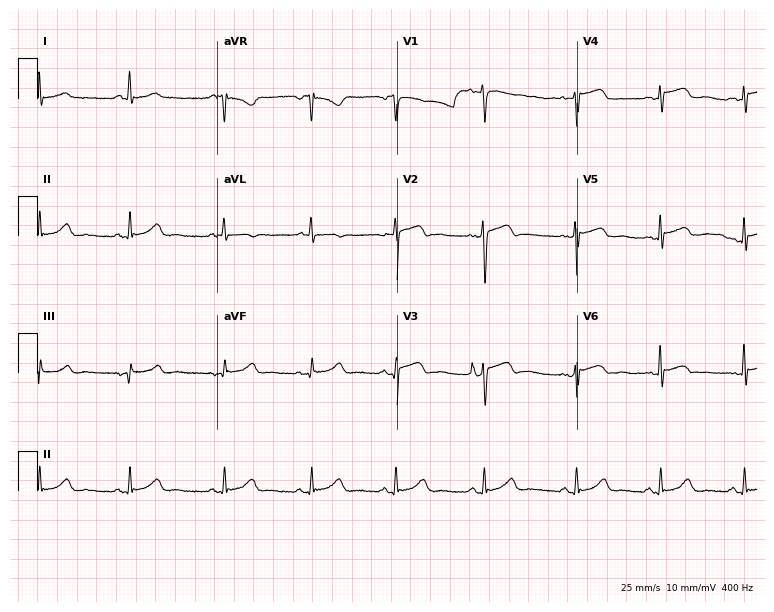
Resting 12-lead electrocardiogram (7.3-second recording at 400 Hz). Patient: a female, 33 years old. Read as a normal ECG.